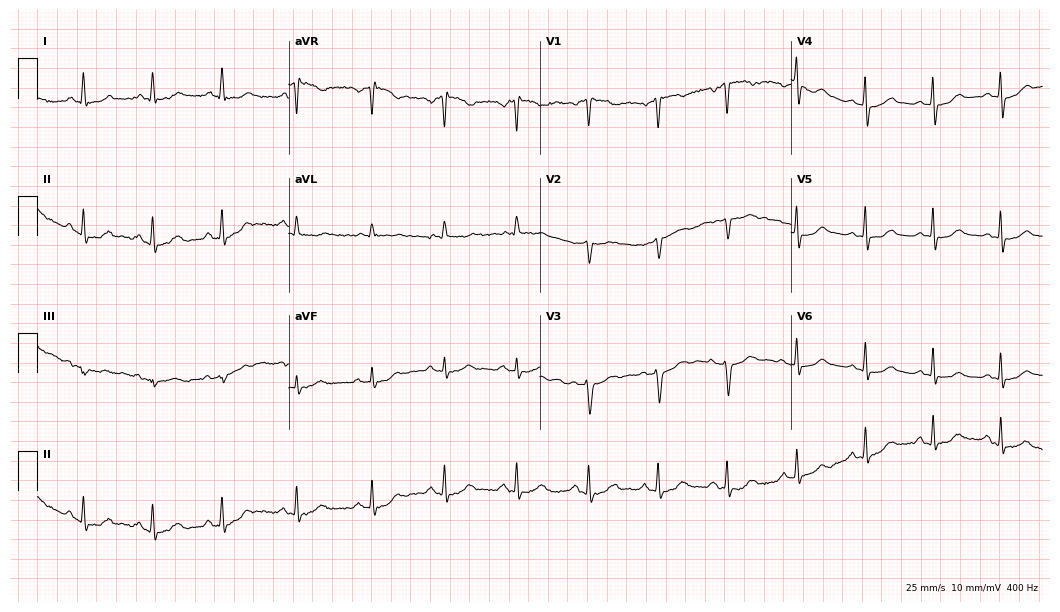
Resting 12-lead electrocardiogram. Patient: a female, 53 years old. Read as a normal ECG.